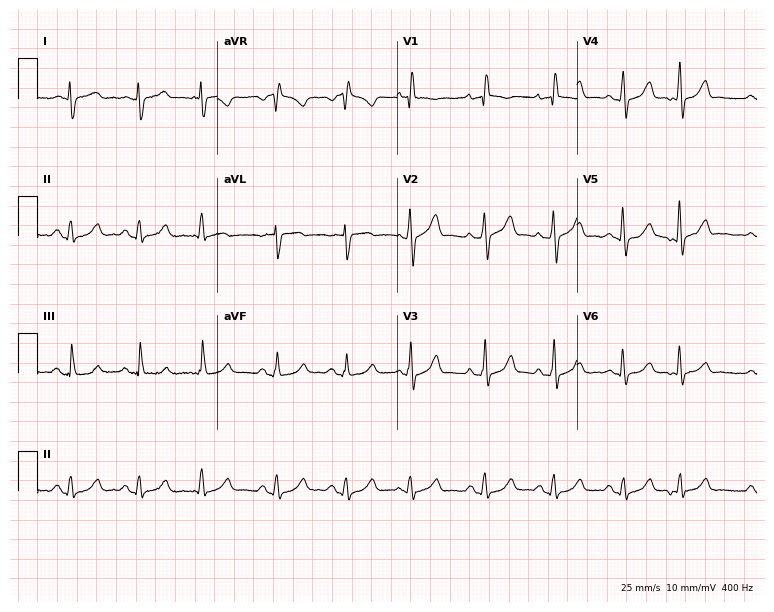
Standard 12-lead ECG recorded from a 64-year-old woman (7.3-second recording at 400 Hz). None of these six findings is recorded: first-degree AV block, right bundle branch block (RBBB), left bundle branch block (LBBB), sinus bradycardia, atrial fibrillation (AF), sinus tachycardia.